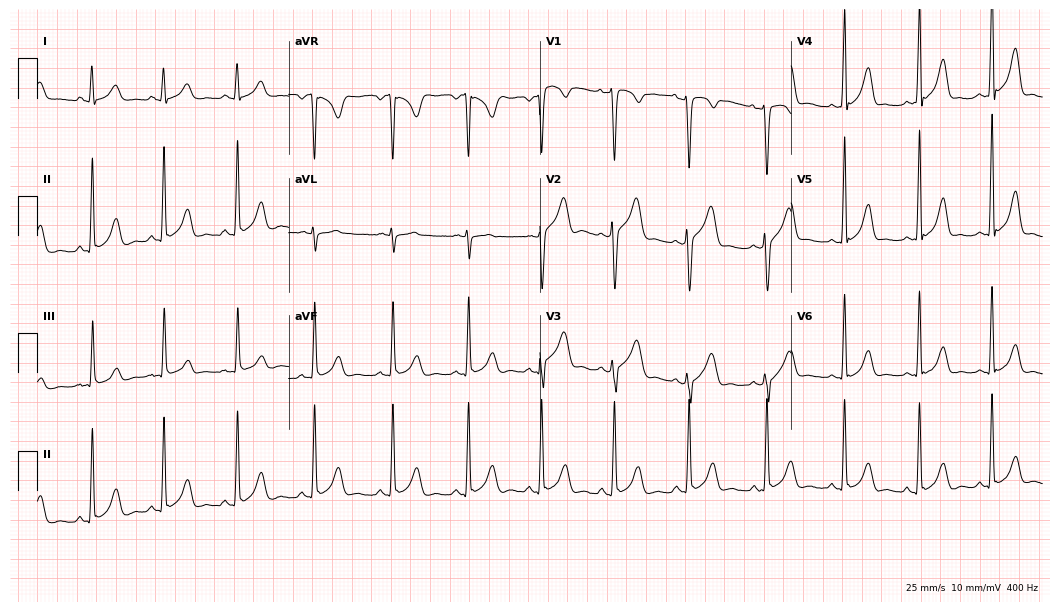
12-lead ECG from a 37-year-old female. Labelled as a normal ECG.